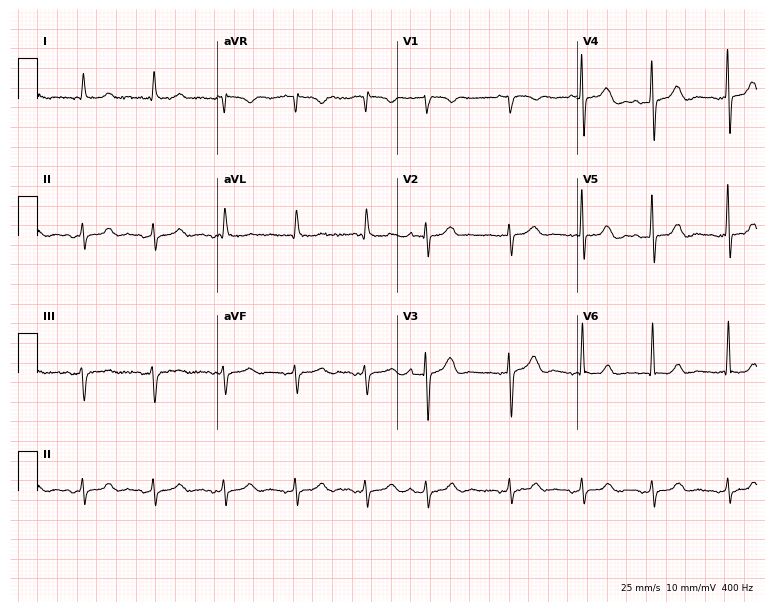
ECG (7.3-second recording at 400 Hz) — a female, 81 years old. Screened for six findings — first-degree AV block, right bundle branch block, left bundle branch block, sinus bradycardia, atrial fibrillation, sinus tachycardia — none is recorded. Findings outside these six are not listed.